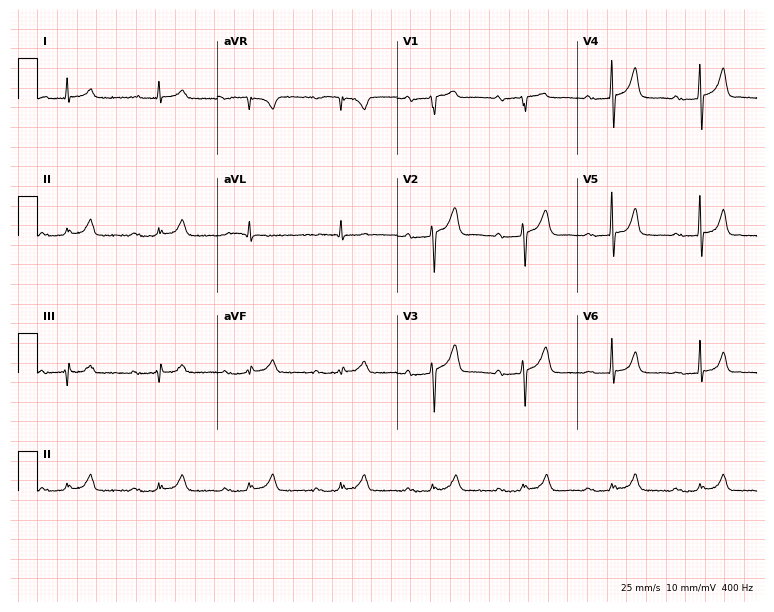
Standard 12-lead ECG recorded from a 76-year-old man. None of these six findings is recorded: first-degree AV block, right bundle branch block, left bundle branch block, sinus bradycardia, atrial fibrillation, sinus tachycardia. Only these six findings were labelled.